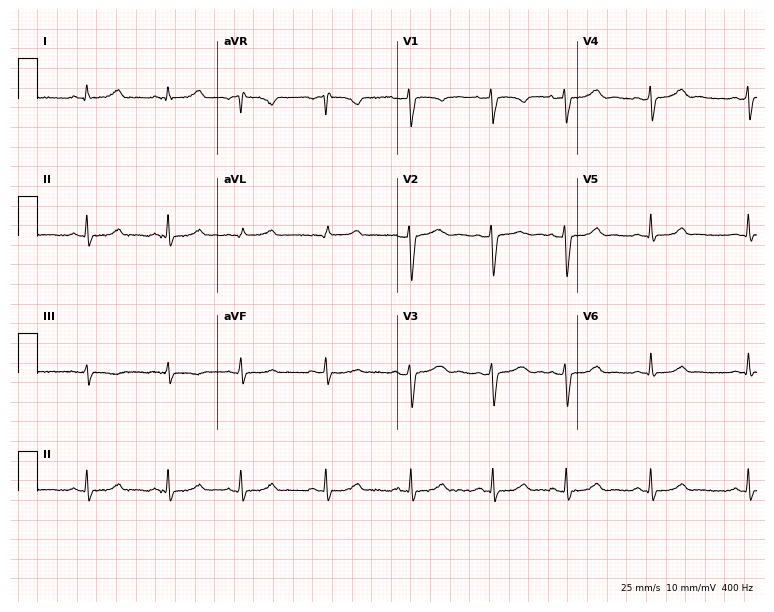
Standard 12-lead ECG recorded from a female, 24 years old. None of these six findings is recorded: first-degree AV block, right bundle branch block, left bundle branch block, sinus bradycardia, atrial fibrillation, sinus tachycardia.